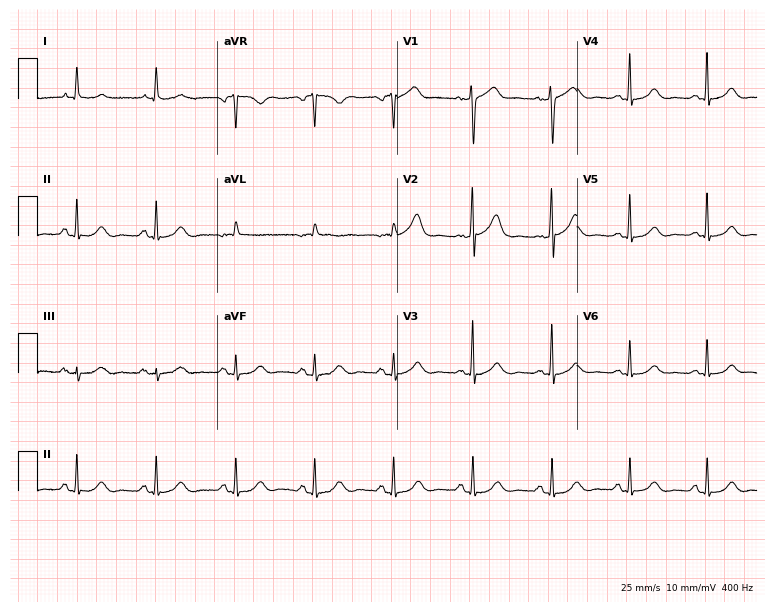
Electrocardiogram, a female, 73 years old. Overall reading on record: normal ECG.